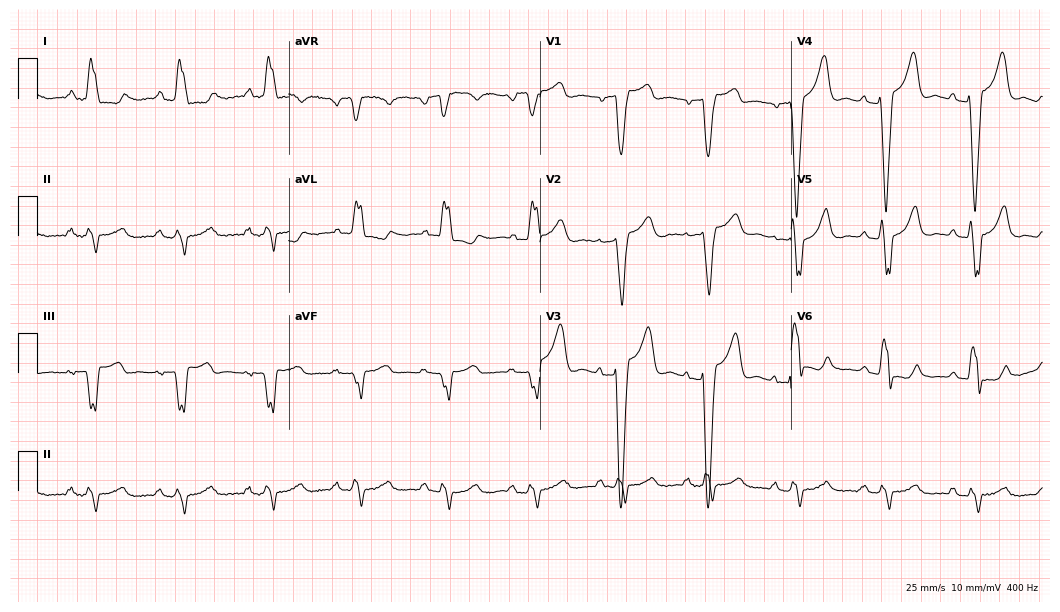
ECG (10.2-second recording at 400 Hz) — an 81-year-old woman. Findings include left bundle branch block (LBBB).